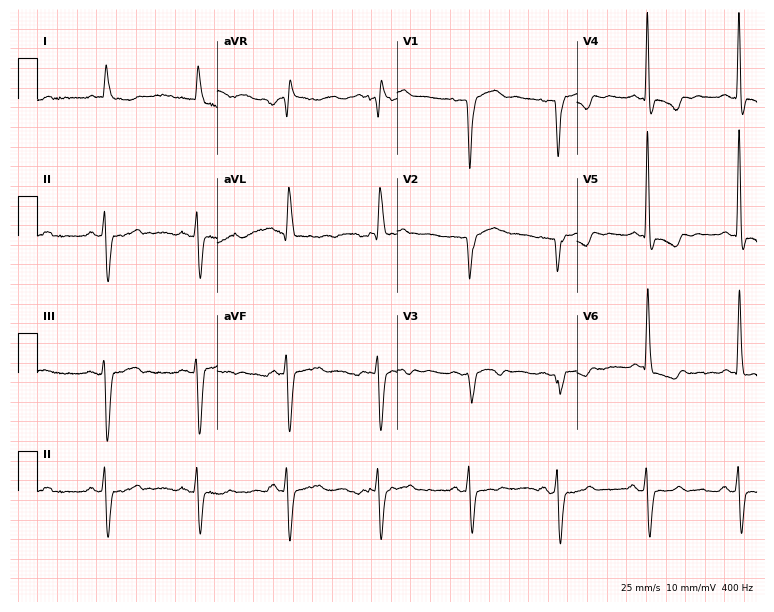
12-lead ECG (7.3-second recording at 400 Hz) from a 79-year-old female patient. Findings include left bundle branch block (LBBB).